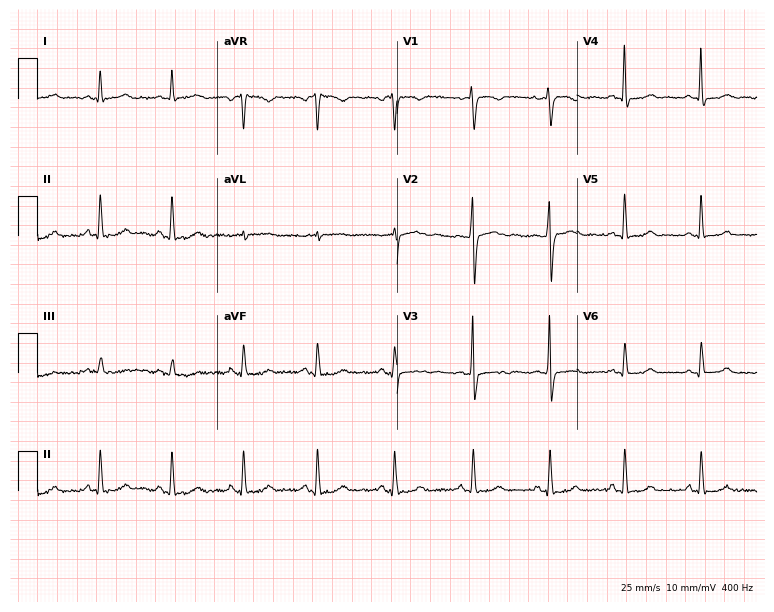
12-lead ECG from a 47-year-old woman. Labelled as a normal ECG.